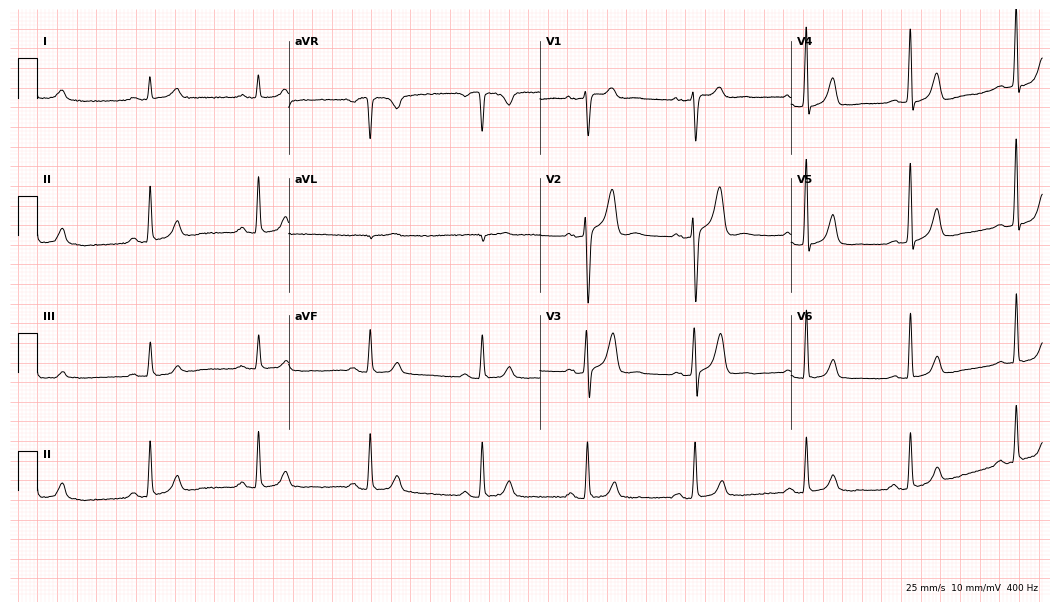
12-lead ECG (10.2-second recording at 400 Hz) from a 51-year-old male patient. Labelled as a normal ECG.